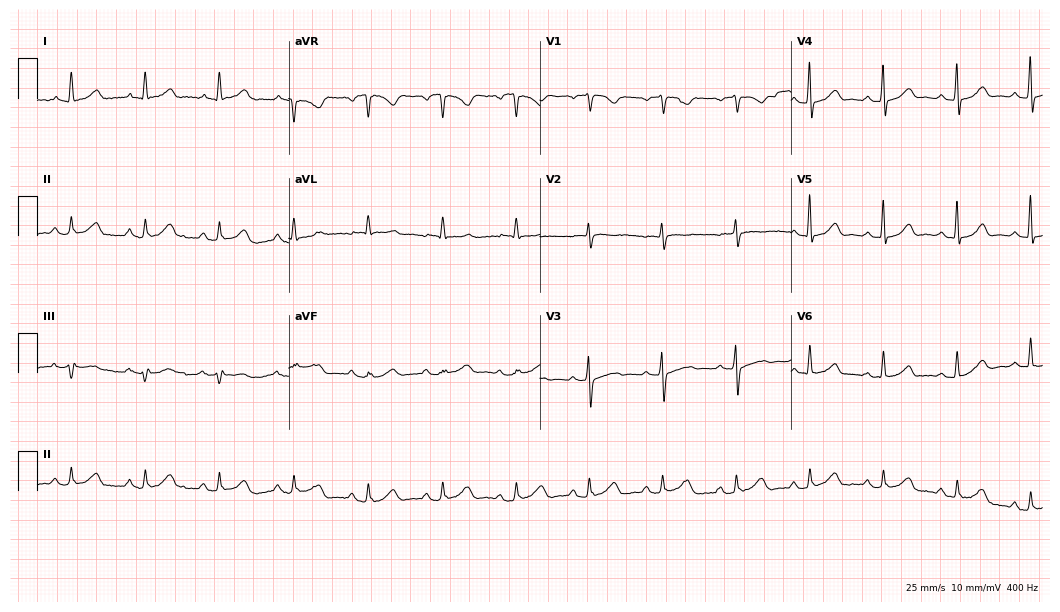
Resting 12-lead electrocardiogram (10.2-second recording at 400 Hz). Patient: a female, 67 years old. None of these six findings is recorded: first-degree AV block, right bundle branch block (RBBB), left bundle branch block (LBBB), sinus bradycardia, atrial fibrillation (AF), sinus tachycardia. Only these six findings were labelled.